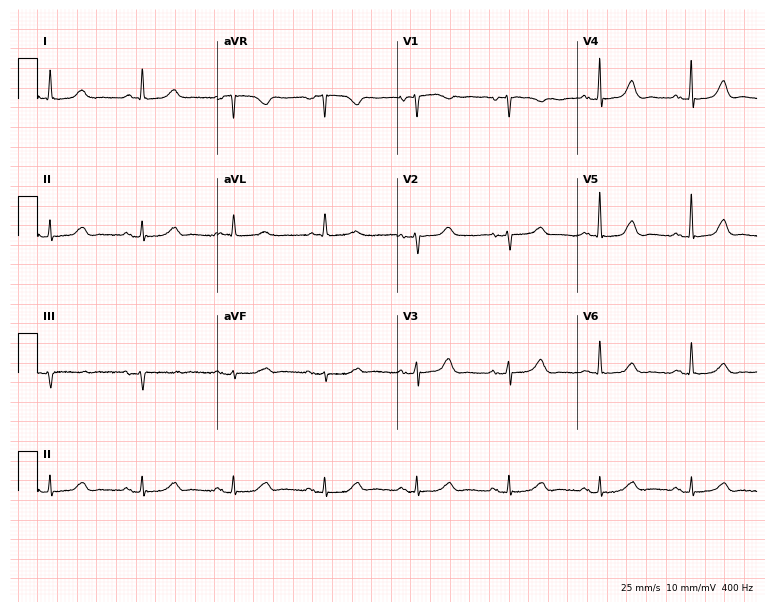
Standard 12-lead ECG recorded from a woman, 83 years old (7.3-second recording at 400 Hz). Read as a normal ECG.